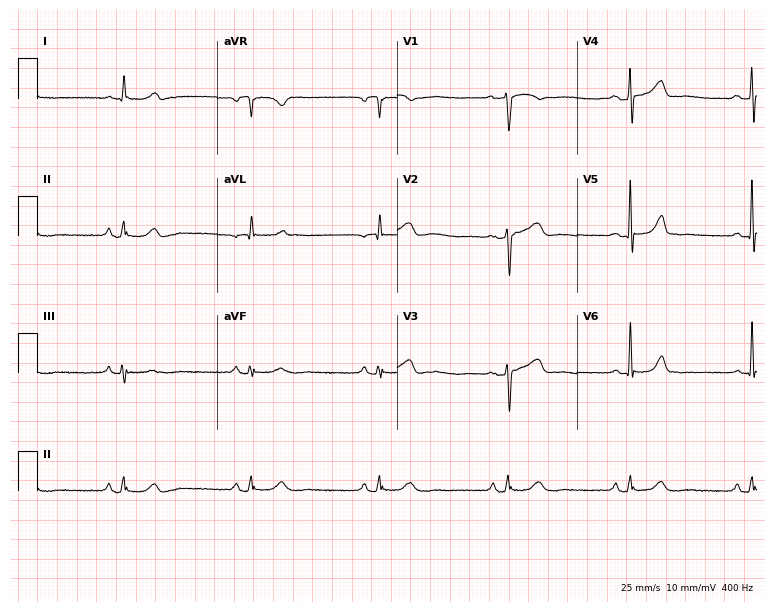
Electrocardiogram (7.3-second recording at 400 Hz), a 69-year-old female patient. Of the six screened findings (first-degree AV block, right bundle branch block, left bundle branch block, sinus bradycardia, atrial fibrillation, sinus tachycardia), none is recorded. Findings outside these six are not listed.